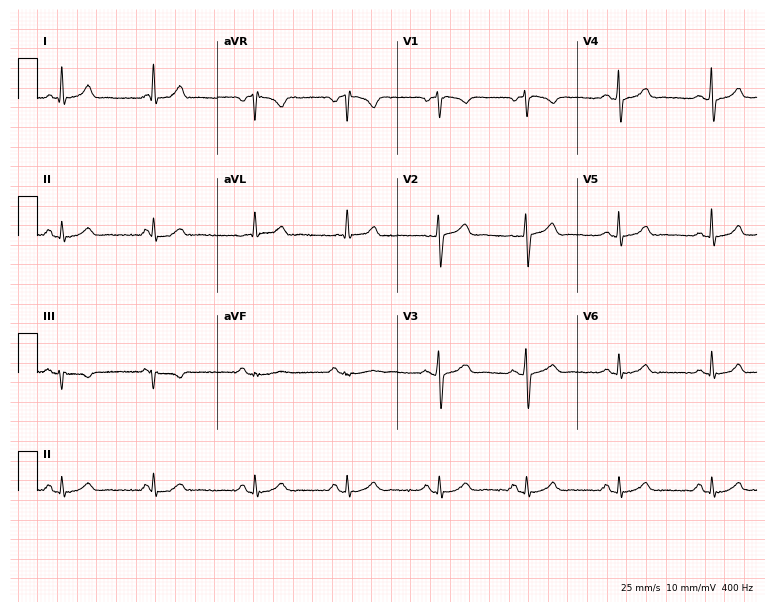
ECG (7.3-second recording at 400 Hz) — a male, 43 years old. Screened for six findings — first-degree AV block, right bundle branch block, left bundle branch block, sinus bradycardia, atrial fibrillation, sinus tachycardia — none is recorded.